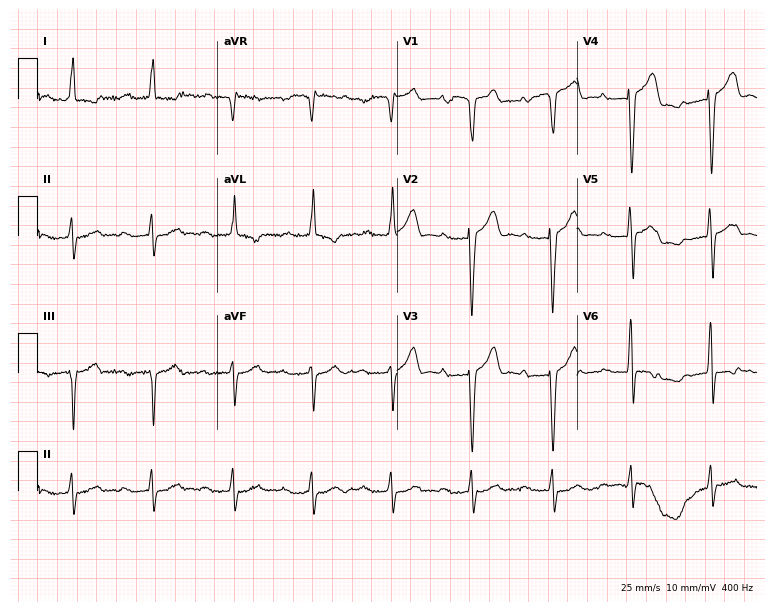
12-lead ECG (7.3-second recording at 400 Hz) from a male, 71 years old. Findings include first-degree AV block.